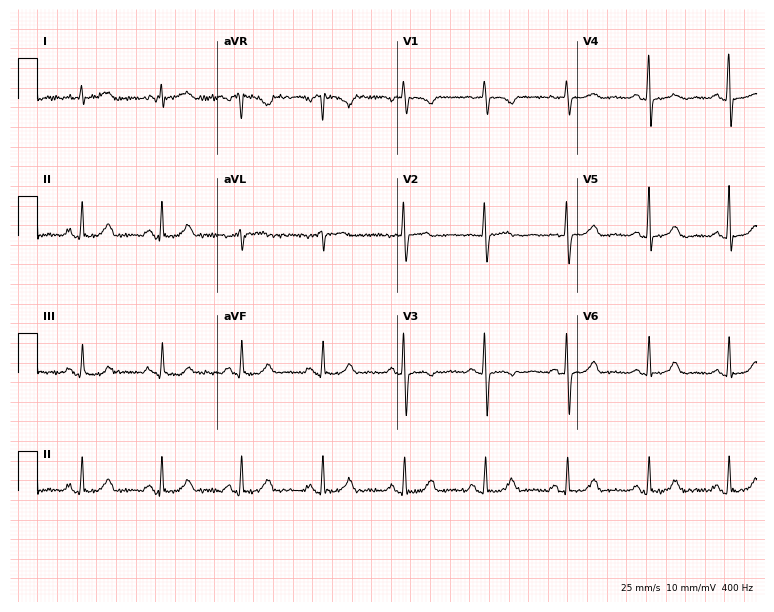
Standard 12-lead ECG recorded from a 63-year-old female patient (7.3-second recording at 400 Hz). None of these six findings is recorded: first-degree AV block, right bundle branch block, left bundle branch block, sinus bradycardia, atrial fibrillation, sinus tachycardia.